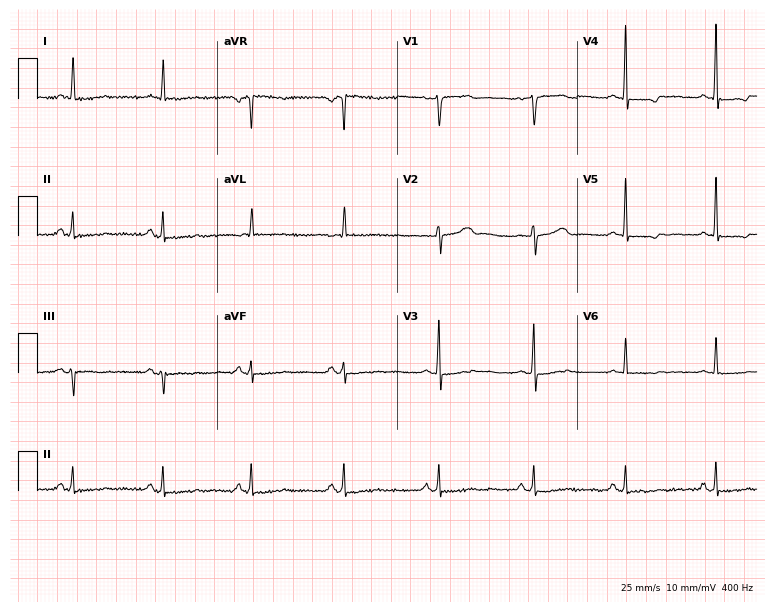
12-lead ECG from a woman, 48 years old. No first-degree AV block, right bundle branch block (RBBB), left bundle branch block (LBBB), sinus bradycardia, atrial fibrillation (AF) or sinus tachycardia recorded for this tracing.